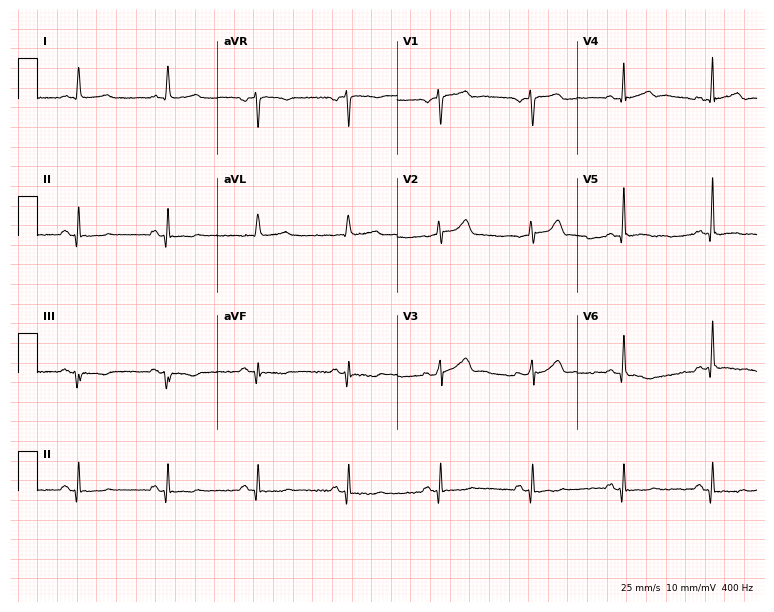
Resting 12-lead electrocardiogram (7.3-second recording at 400 Hz). Patient: a 53-year-old male. None of these six findings is recorded: first-degree AV block, right bundle branch block, left bundle branch block, sinus bradycardia, atrial fibrillation, sinus tachycardia. Findings outside these six are not listed.